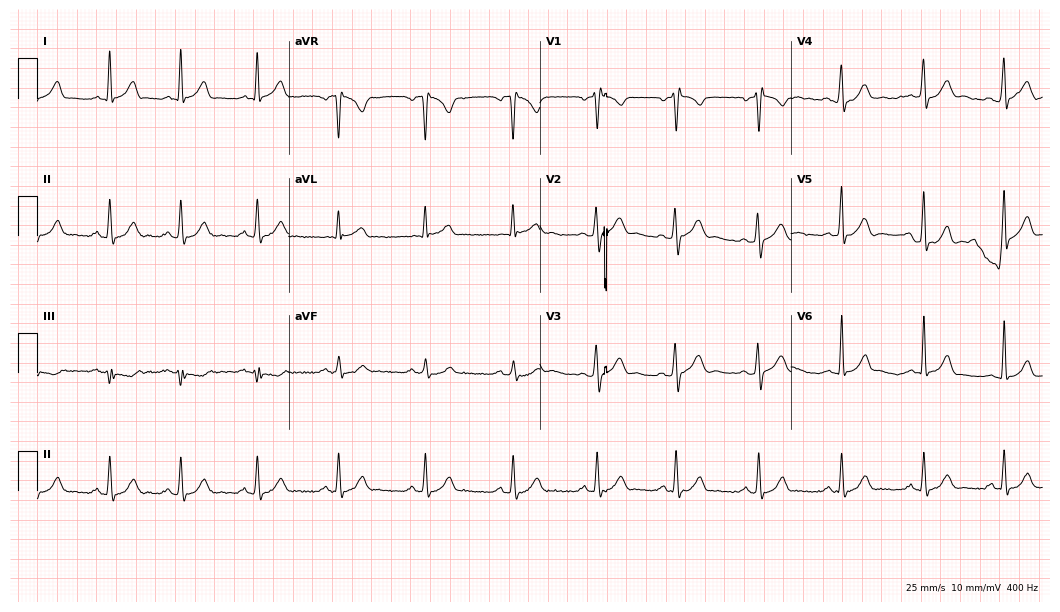
ECG (10.2-second recording at 400 Hz) — a 27-year-old man. Labelled as a normal ECG.